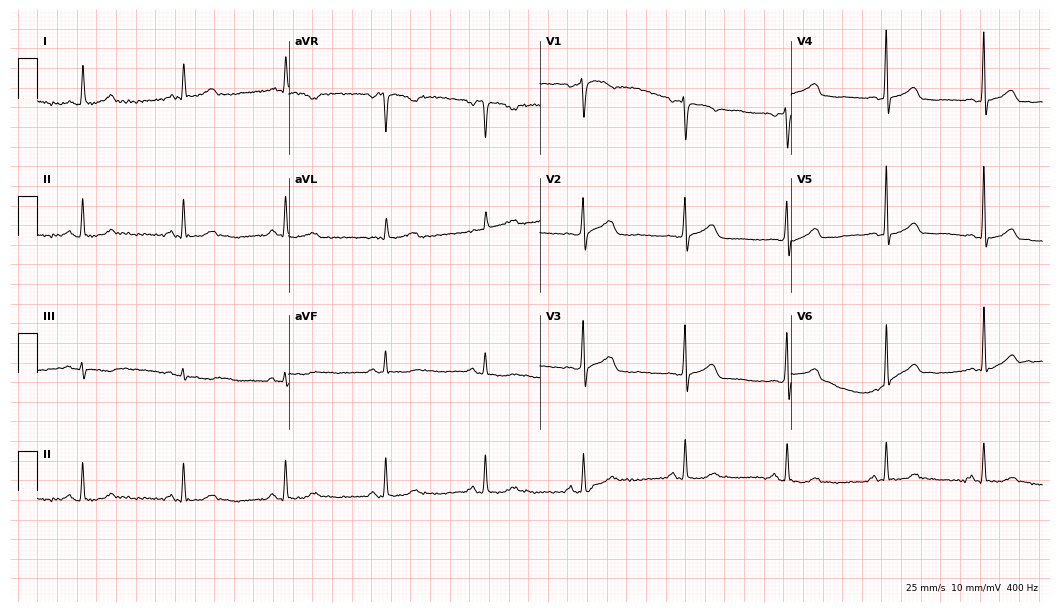
12-lead ECG from a 69-year-old woman. Recorded interpretation: within normal limits.